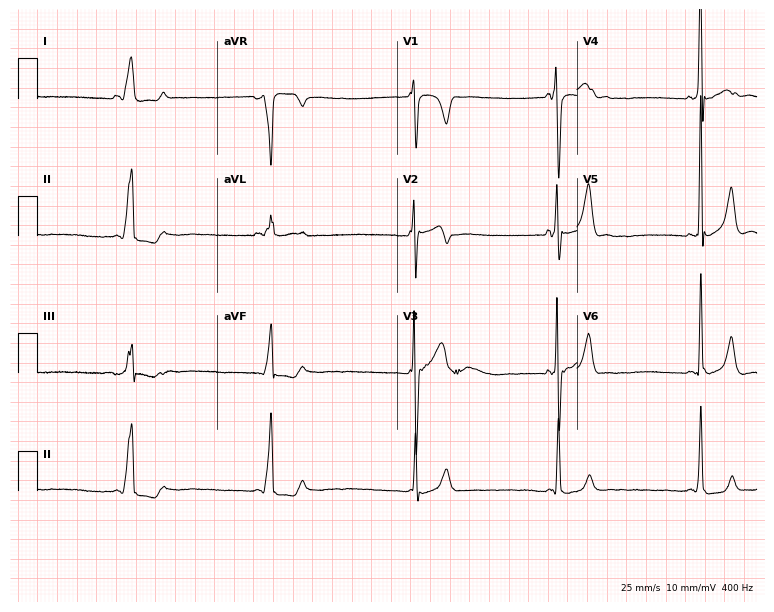
12-lead ECG from a 20-year-old male patient (7.3-second recording at 400 Hz). Shows sinus bradycardia (a sinus rate of 50 beats per minute or less).